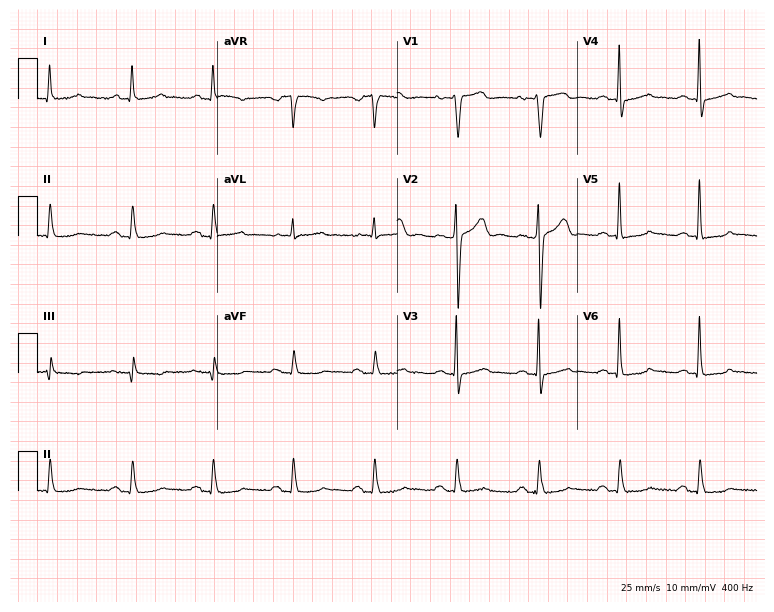
Standard 12-lead ECG recorded from a female patient, 49 years old (7.3-second recording at 400 Hz). None of these six findings is recorded: first-degree AV block, right bundle branch block (RBBB), left bundle branch block (LBBB), sinus bradycardia, atrial fibrillation (AF), sinus tachycardia. Only these six findings were labelled.